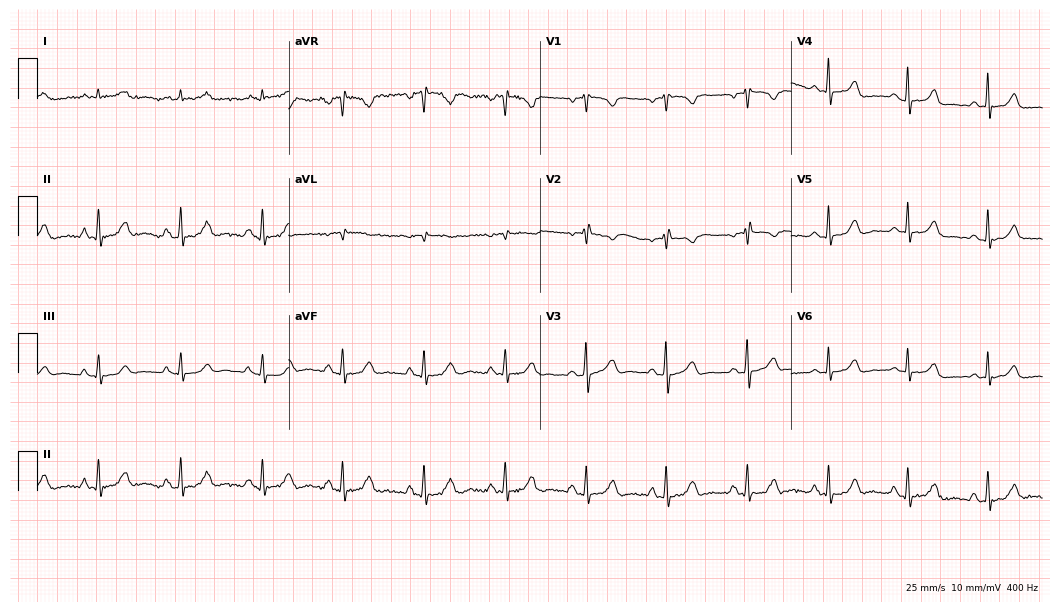
12-lead ECG from a female, 57 years old. Labelled as a normal ECG.